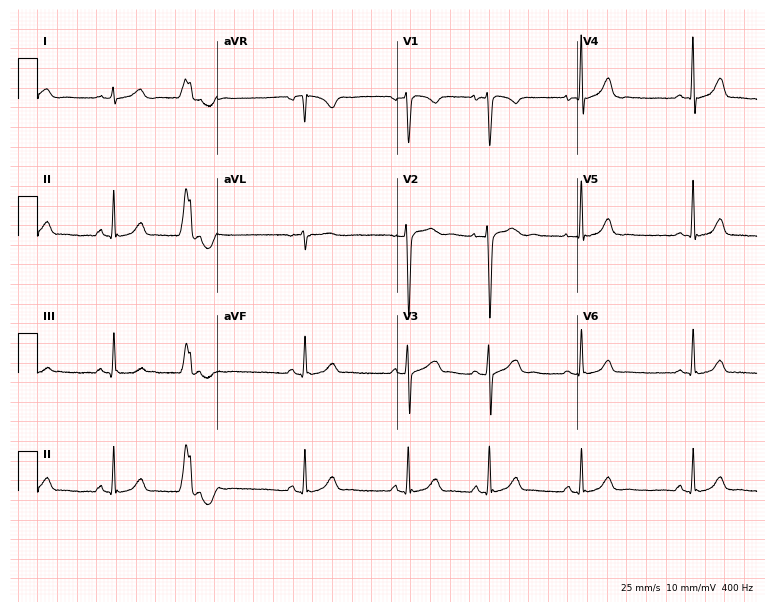
12-lead ECG from a 31-year-old female. Labelled as a normal ECG.